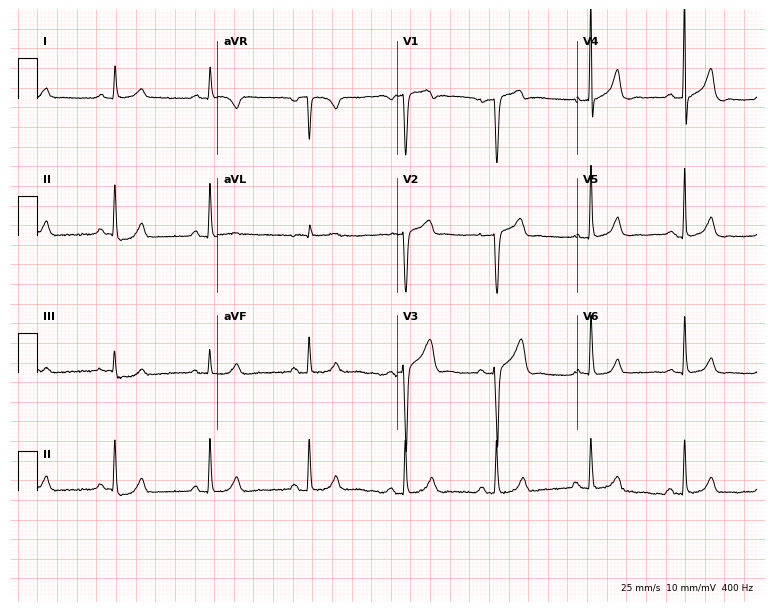
12-lead ECG from a man, 52 years old. Labelled as a normal ECG.